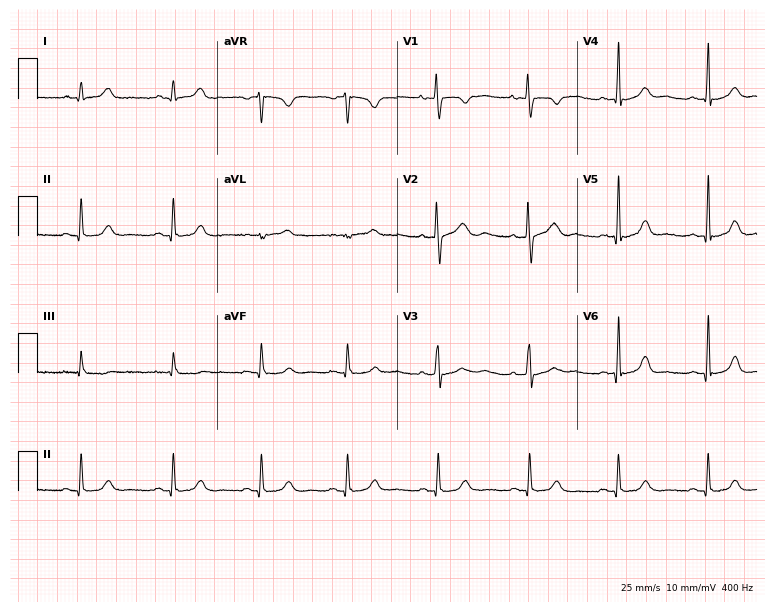
12-lead ECG from a woman, 22 years old (7.3-second recording at 400 Hz). Recorded interpretation: within normal limits.